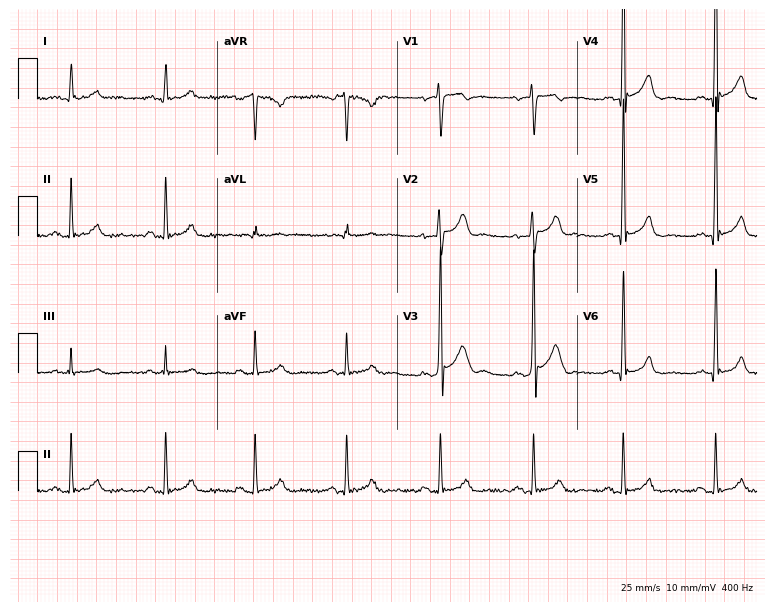
12-lead ECG (7.3-second recording at 400 Hz) from a 39-year-old man. Labelled as a normal ECG.